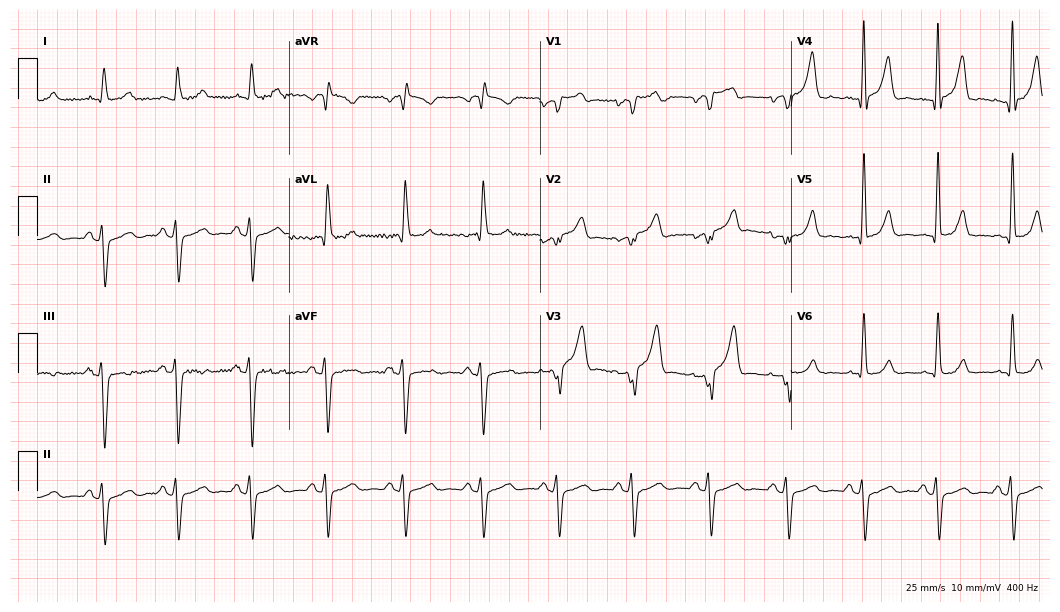
Standard 12-lead ECG recorded from a male patient, 65 years old. None of these six findings is recorded: first-degree AV block, right bundle branch block, left bundle branch block, sinus bradycardia, atrial fibrillation, sinus tachycardia.